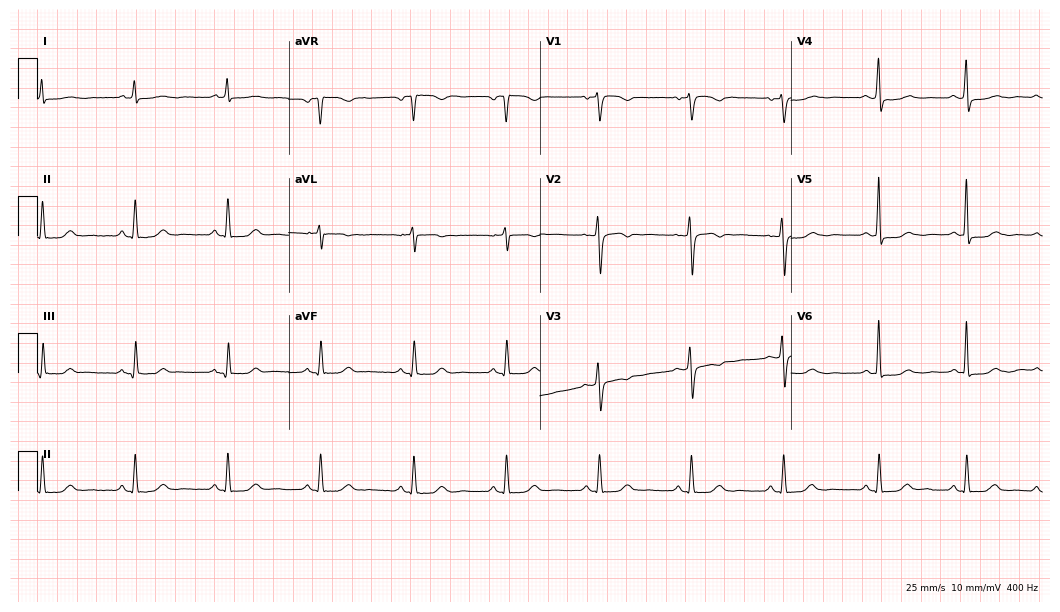
Electrocardiogram (10.2-second recording at 400 Hz), a 70-year-old woman. Of the six screened findings (first-degree AV block, right bundle branch block, left bundle branch block, sinus bradycardia, atrial fibrillation, sinus tachycardia), none is recorded. Only these six findings were labelled.